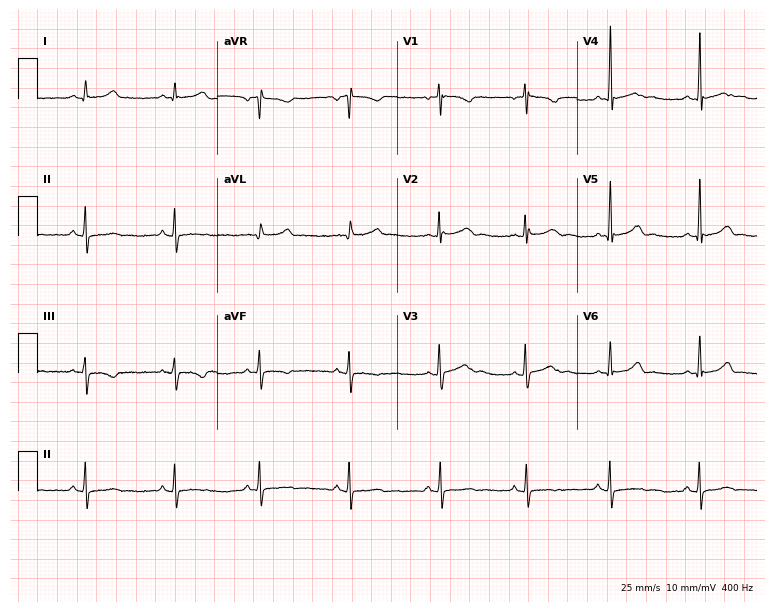
12-lead ECG from a 17-year-old female. Recorded interpretation: within normal limits.